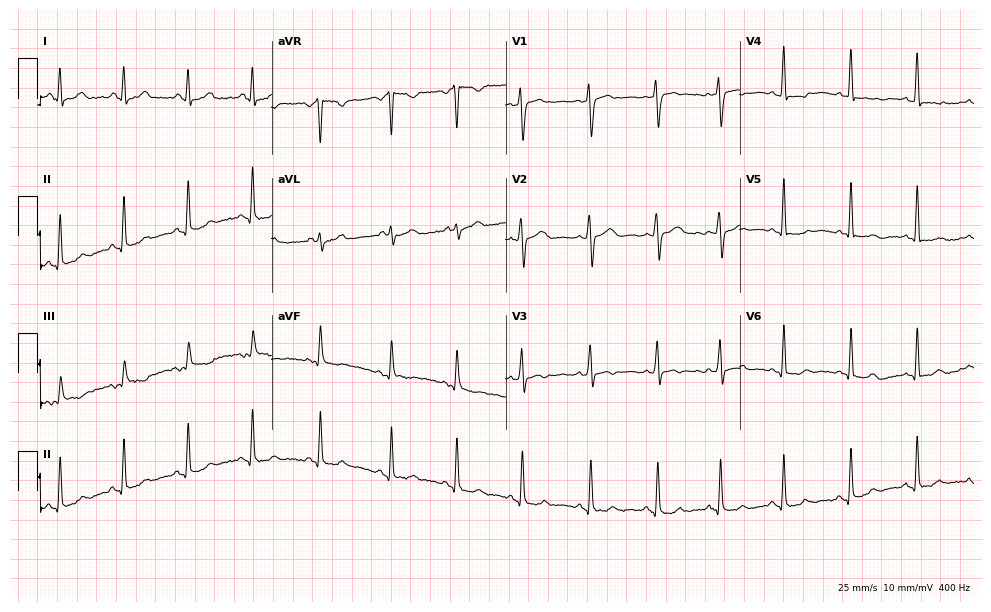
Standard 12-lead ECG recorded from a 24-year-old female. Read as a normal ECG.